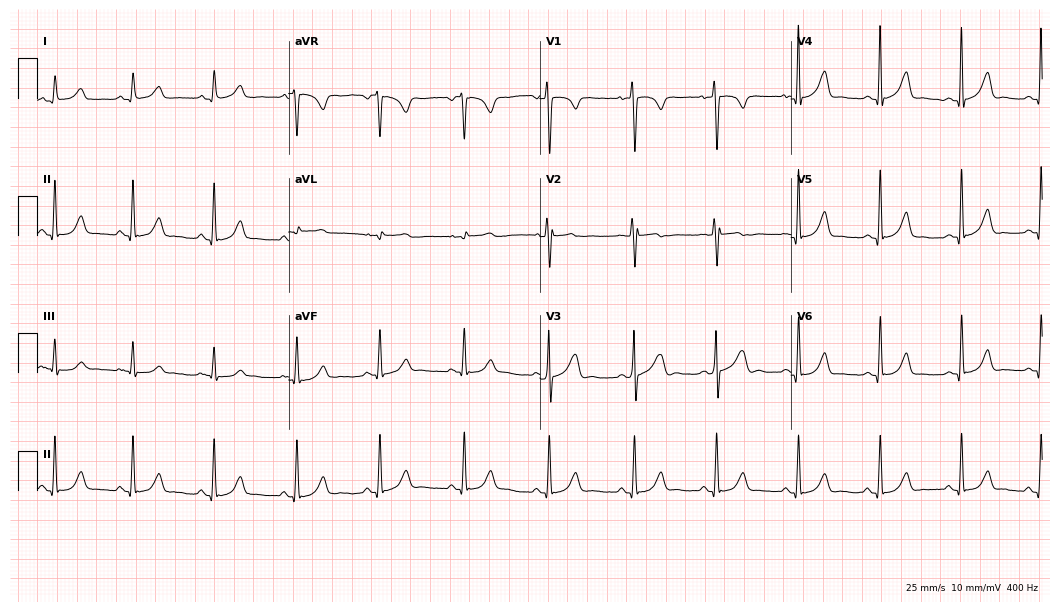
12-lead ECG (10.2-second recording at 400 Hz) from a 75-year-old woman. Labelled as a normal ECG.